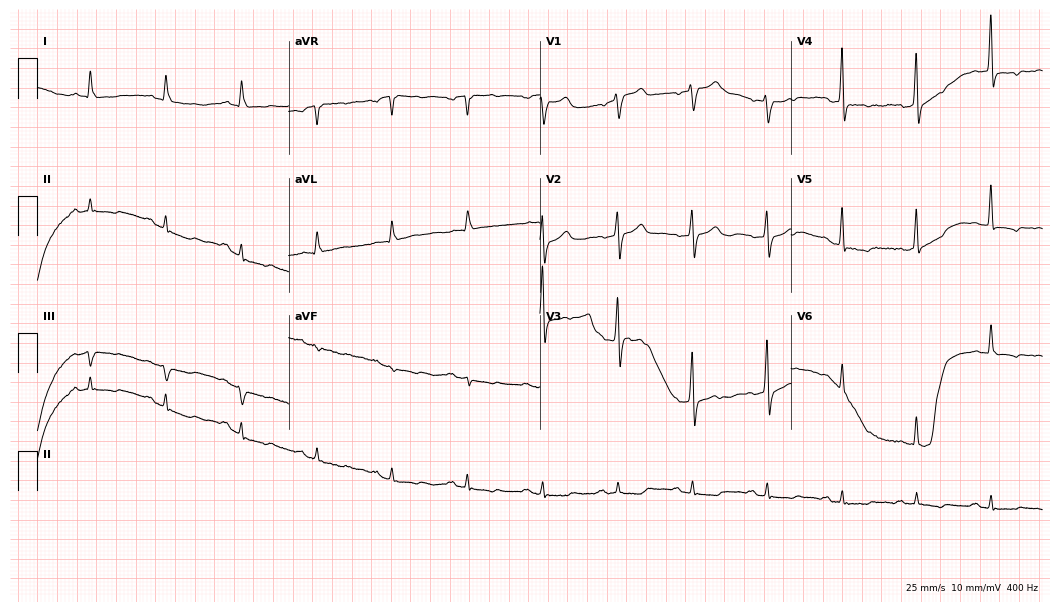
Standard 12-lead ECG recorded from a 64-year-old man (10.2-second recording at 400 Hz). None of these six findings is recorded: first-degree AV block, right bundle branch block, left bundle branch block, sinus bradycardia, atrial fibrillation, sinus tachycardia.